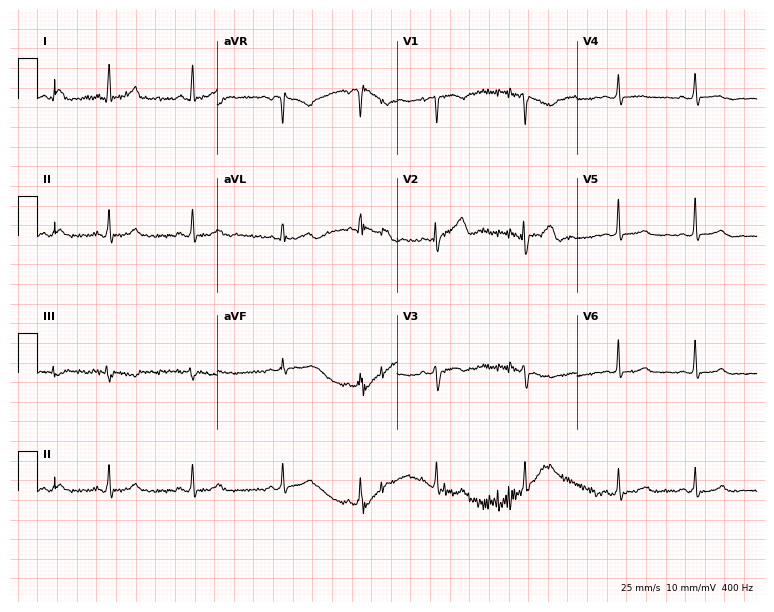
12-lead ECG from a female, 27 years old. Recorded interpretation: within normal limits.